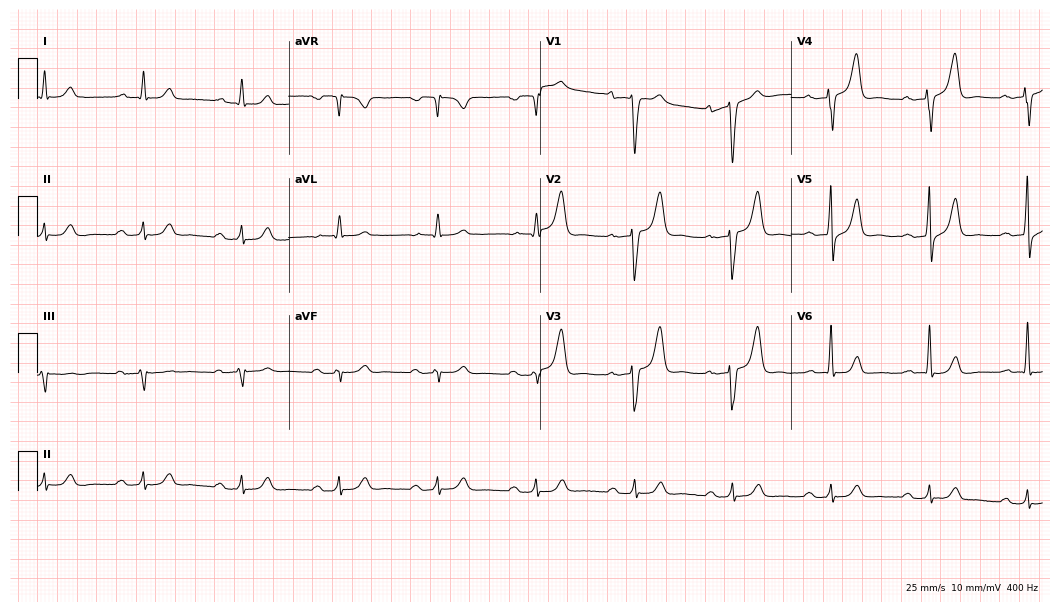
12-lead ECG from a male, 80 years old. Findings include first-degree AV block.